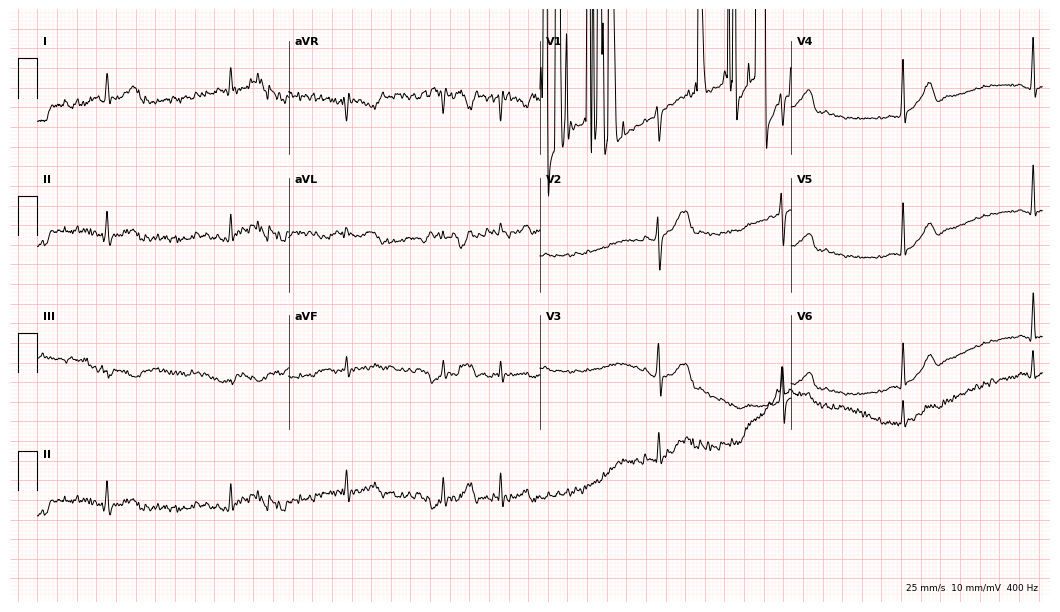
Electrocardiogram (10.2-second recording at 400 Hz), a male, 27 years old. Of the six screened findings (first-degree AV block, right bundle branch block, left bundle branch block, sinus bradycardia, atrial fibrillation, sinus tachycardia), none is recorded.